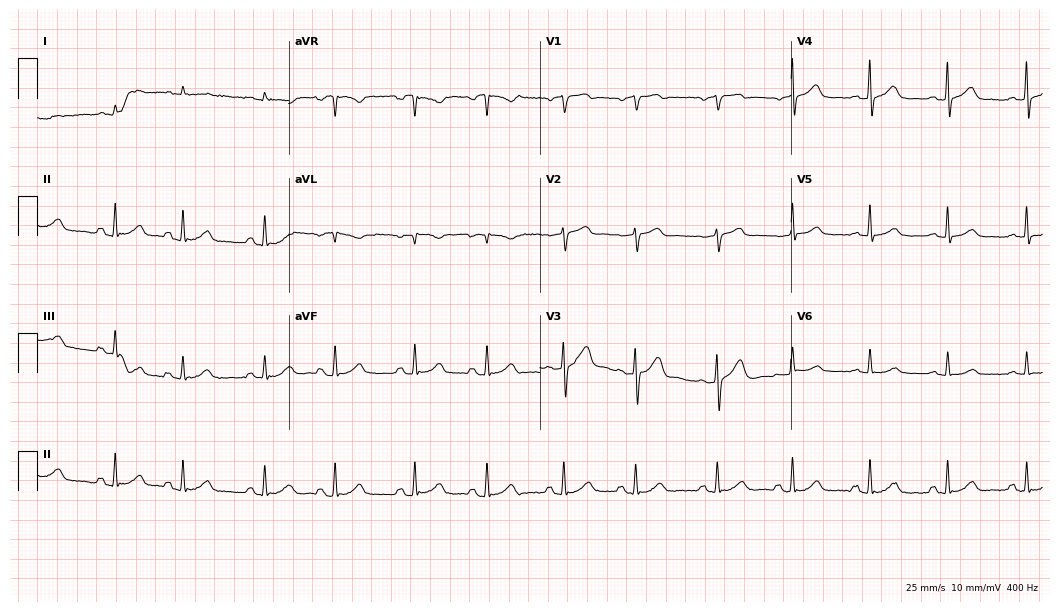
Standard 12-lead ECG recorded from an 83-year-old male (10.2-second recording at 400 Hz). Read as a normal ECG.